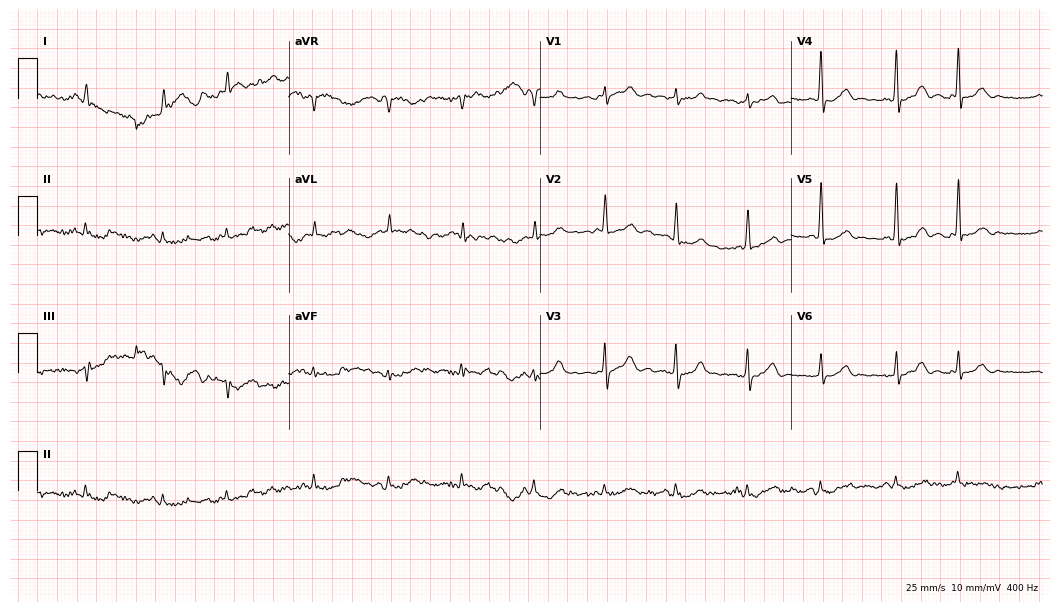
12-lead ECG from an 88-year-old male. Screened for six findings — first-degree AV block, right bundle branch block, left bundle branch block, sinus bradycardia, atrial fibrillation, sinus tachycardia — none is recorded.